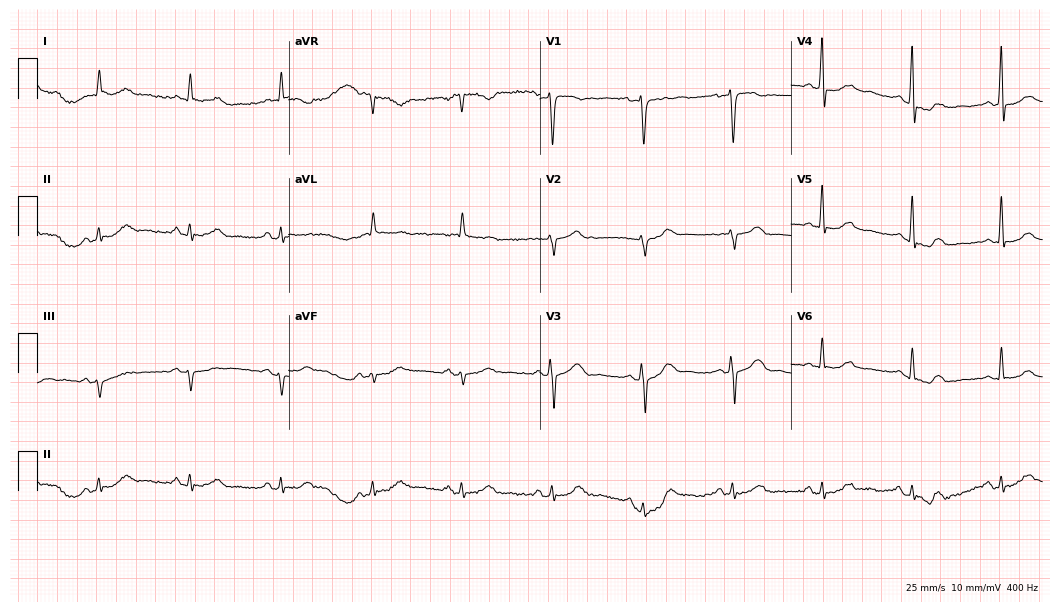
12-lead ECG from a 65-year-old male patient (10.2-second recording at 400 Hz). No first-degree AV block, right bundle branch block, left bundle branch block, sinus bradycardia, atrial fibrillation or sinus tachycardia recorded for this tracing. Only these six findings were labelled.